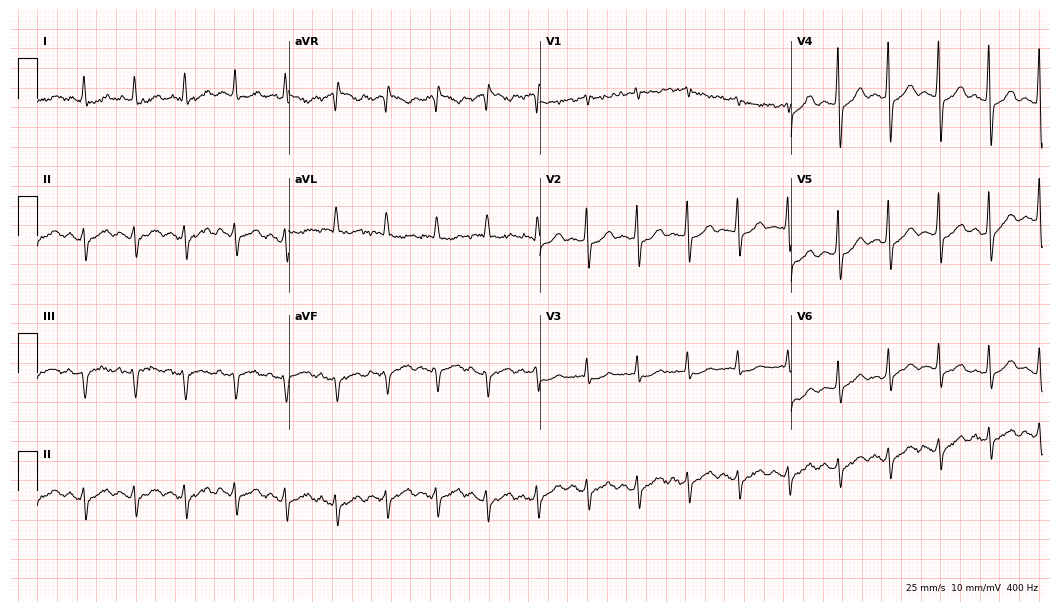
12-lead ECG from a female, 85 years old (10.2-second recording at 400 Hz). Shows sinus tachycardia (a sinus rate of 100 beats per minute or more).